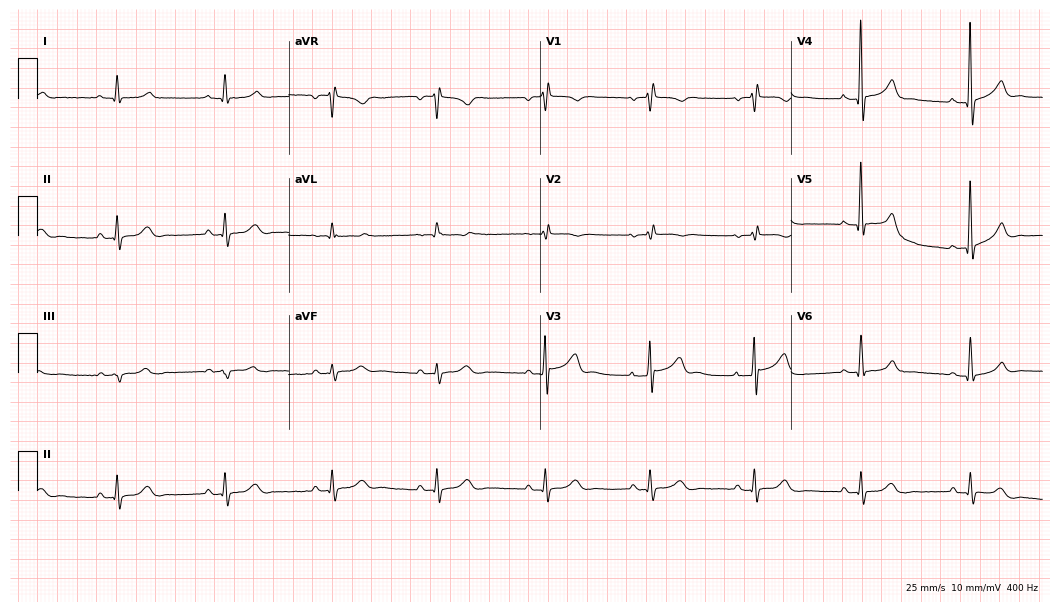
Electrocardiogram, a 58-year-old male patient. Of the six screened findings (first-degree AV block, right bundle branch block, left bundle branch block, sinus bradycardia, atrial fibrillation, sinus tachycardia), none is recorded. Other findings, if any, are not listed.